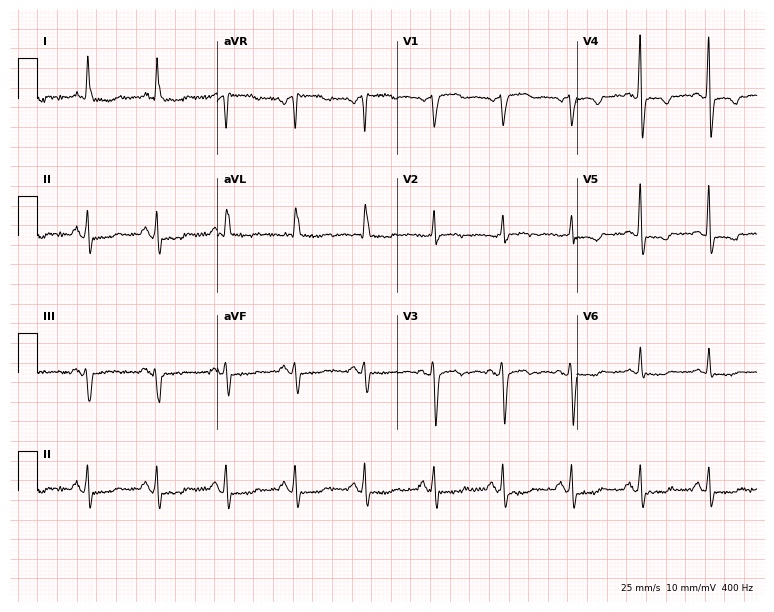
Standard 12-lead ECG recorded from a female, 85 years old. None of these six findings is recorded: first-degree AV block, right bundle branch block, left bundle branch block, sinus bradycardia, atrial fibrillation, sinus tachycardia.